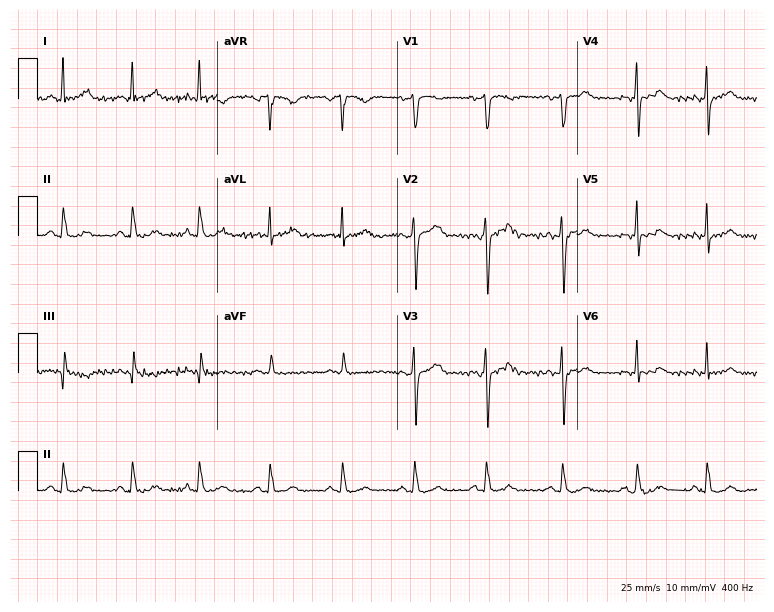
12-lead ECG from a female patient, 33 years old. Labelled as a normal ECG.